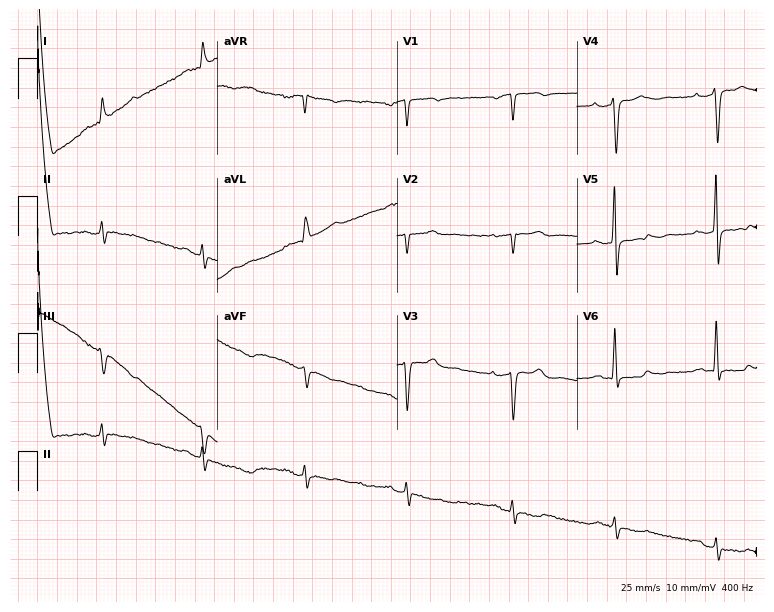
Standard 12-lead ECG recorded from a female patient, 71 years old. None of these six findings is recorded: first-degree AV block, right bundle branch block, left bundle branch block, sinus bradycardia, atrial fibrillation, sinus tachycardia.